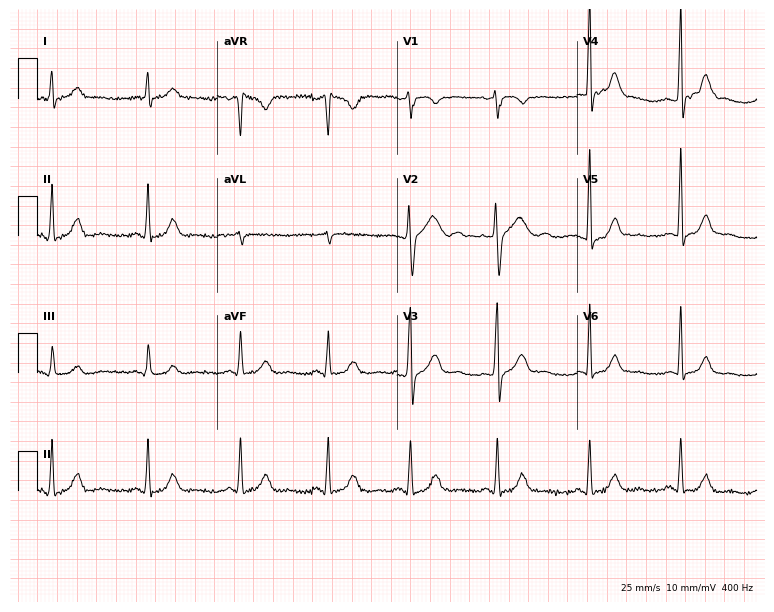
Resting 12-lead electrocardiogram. Patient: a 57-year-old man. Read as a normal ECG.